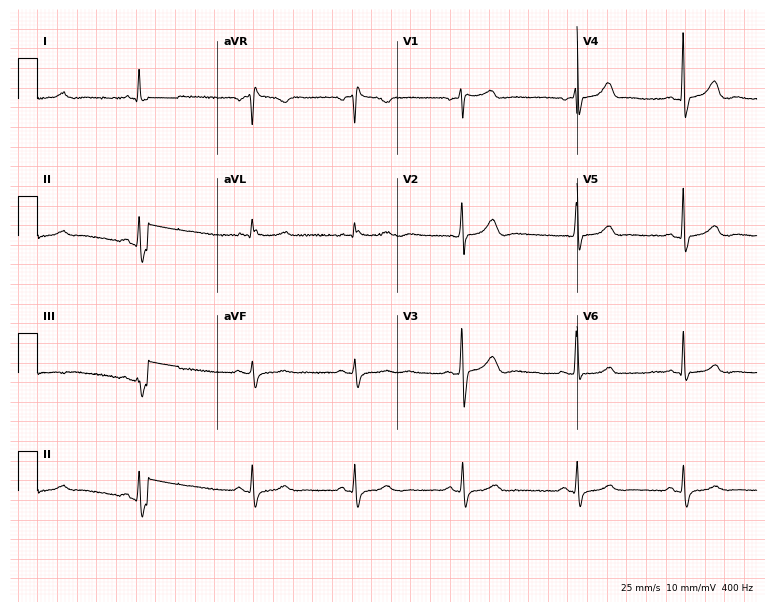
ECG — a 59-year-old woman. Screened for six findings — first-degree AV block, right bundle branch block, left bundle branch block, sinus bradycardia, atrial fibrillation, sinus tachycardia — none is recorded. Only these six findings were labelled.